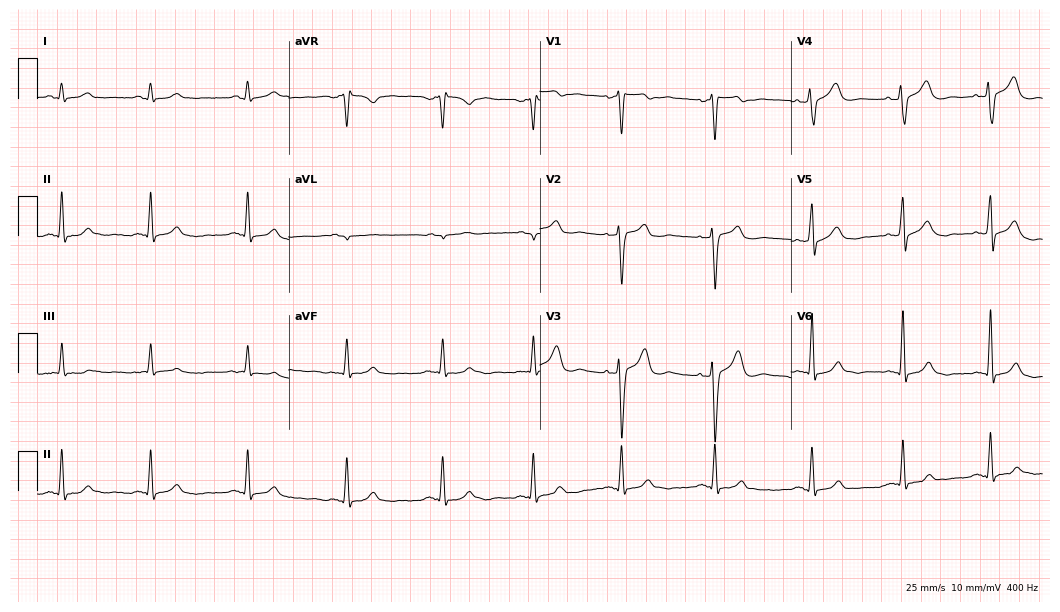
Resting 12-lead electrocardiogram. Patient: a male, 54 years old. Read as a normal ECG.